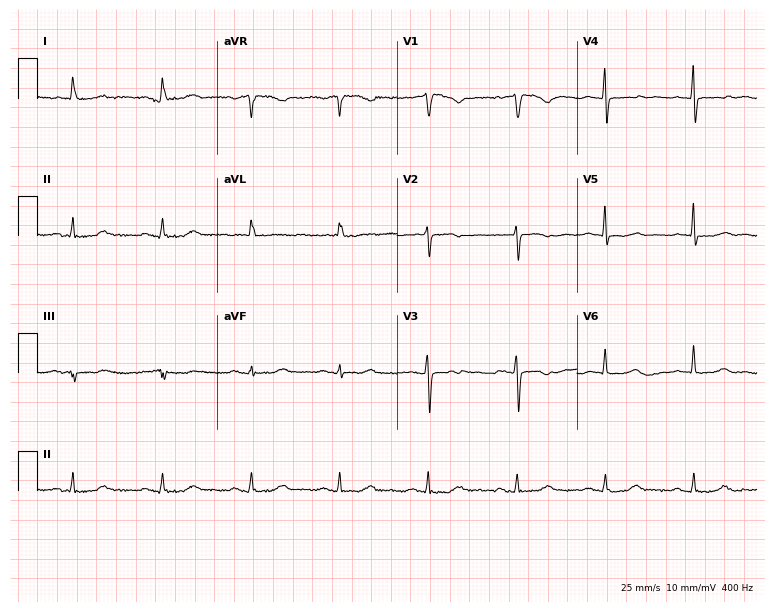
12-lead ECG from a female patient, 79 years old. No first-degree AV block, right bundle branch block, left bundle branch block, sinus bradycardia, atrial fibrillation or sinus tachycardia recorded for this tracing.